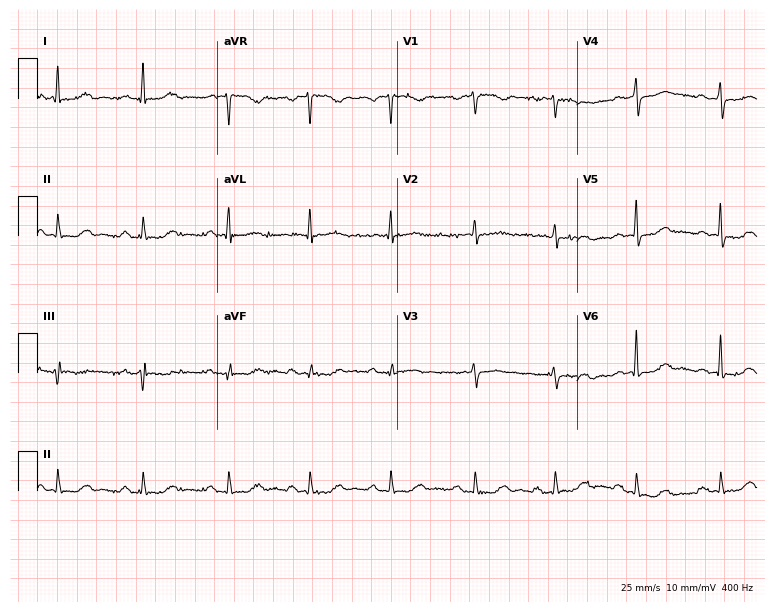
Resting 12-lead electrocardiogram (7.3-second recording at 400 Hz). Patient: a woman, 61 years old. None of these six findings is recorded: first-degree AV block, right bundle branch block (RBBB), left bundle branch block (LBBB), sinus bradycardia, atrial fibrillation (AF), sinus tachycardia.